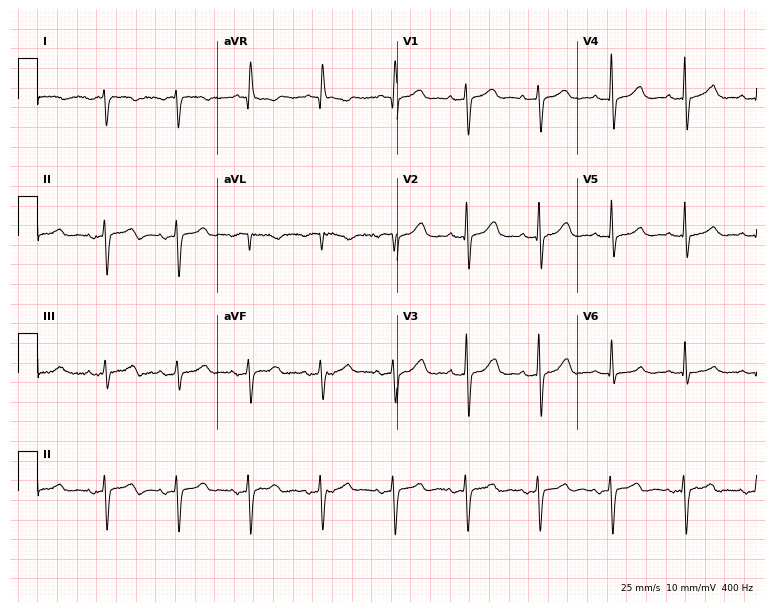
Electrocardiogram (7.3-second recording at 400 Hz), a 79-year-old female patient. Overall reading on record: normal ECG.